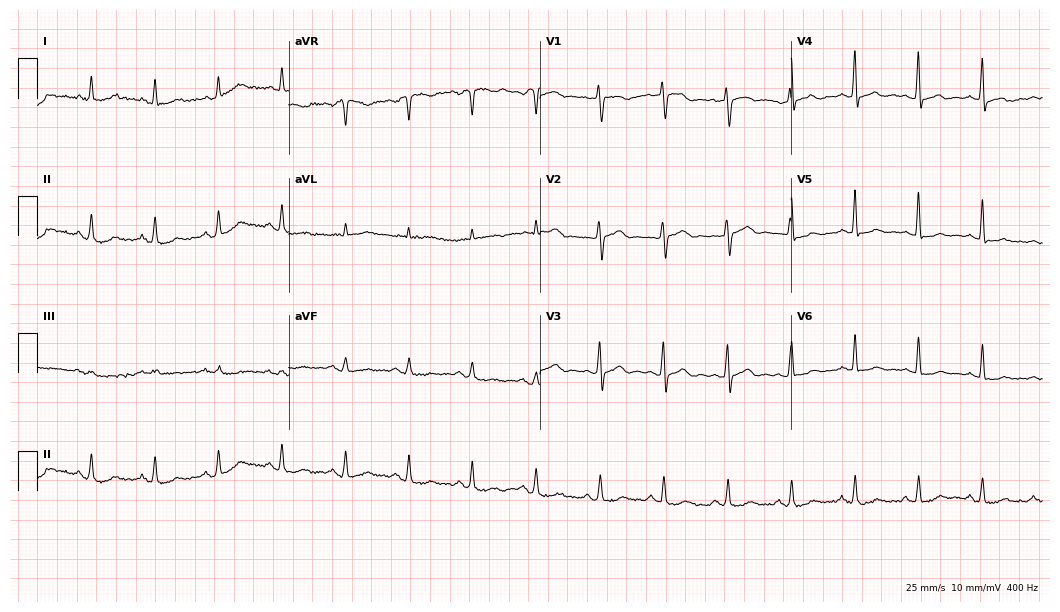
Electrocardiogram (10.2-second recording at 400 Hz), a female, 67 years old. Overall reading on record: normal ECG.